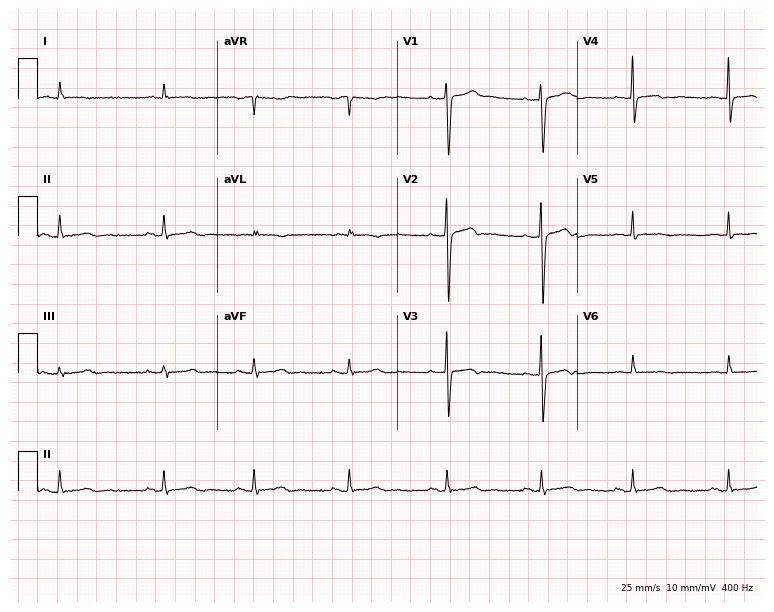
Electrocardiogram (7.3-second recording at 400 Hz), a 28-year-old female patient. Of the six screened findings (first-degree AV block, right bundle branch block (RBBB), left bundle branch block (LBBB), sinus bradycardia, atrial fibrillation (AF), sinus tachycardia), none is recorded. Findings outside these six are not listed.